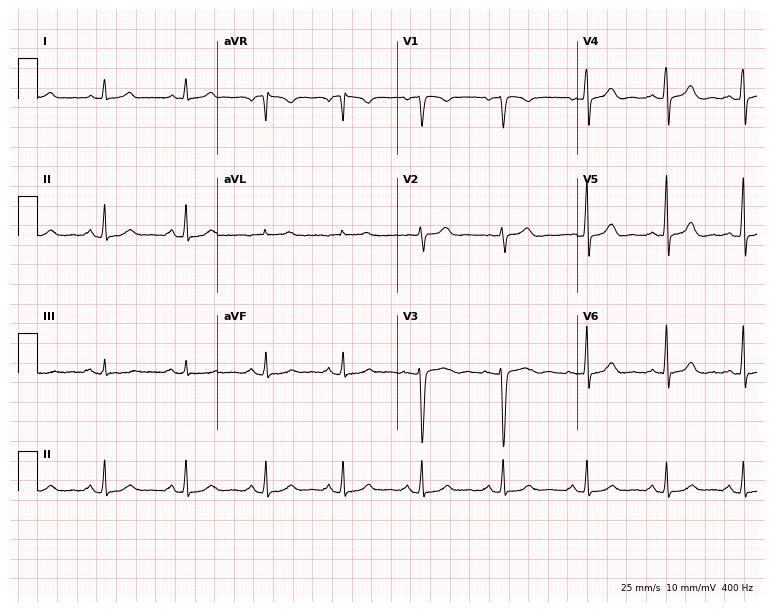
Electrocardiogram, a woman, 38 years old. Overall reading on record: normal ECG.